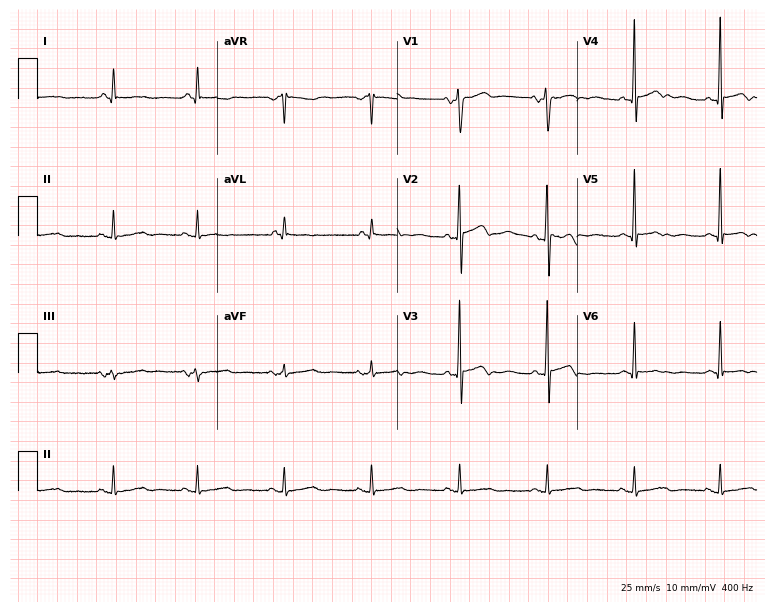
Resting 12-lead electrocardiogram. Patient: a man, 75 years old. None of these six findings is recorded: first-degree AV block, right bundle branch block (RBBB), left bundle branch block (LBBB), sinus bradycardia, atrial fibrillation (AF), sinus tachycardia. Only these six findings were labelled.